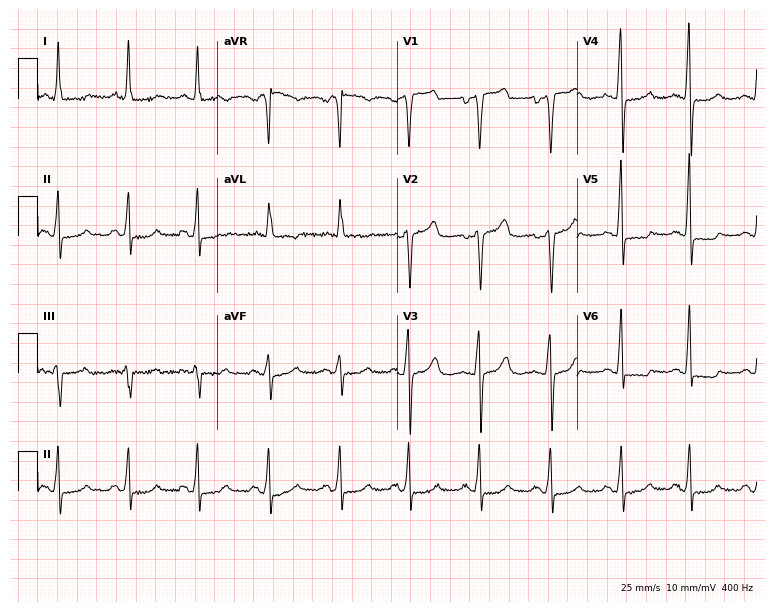
Electrocardiogram (7.3-second recording at 400 Hz), a 50-year-old female. Of the six screened findings (first-degree AV block, right bundle branch block, left bundle branch block, sinus bradycardia, atrial fibrillation, sinus tachycardia), none is recorded.